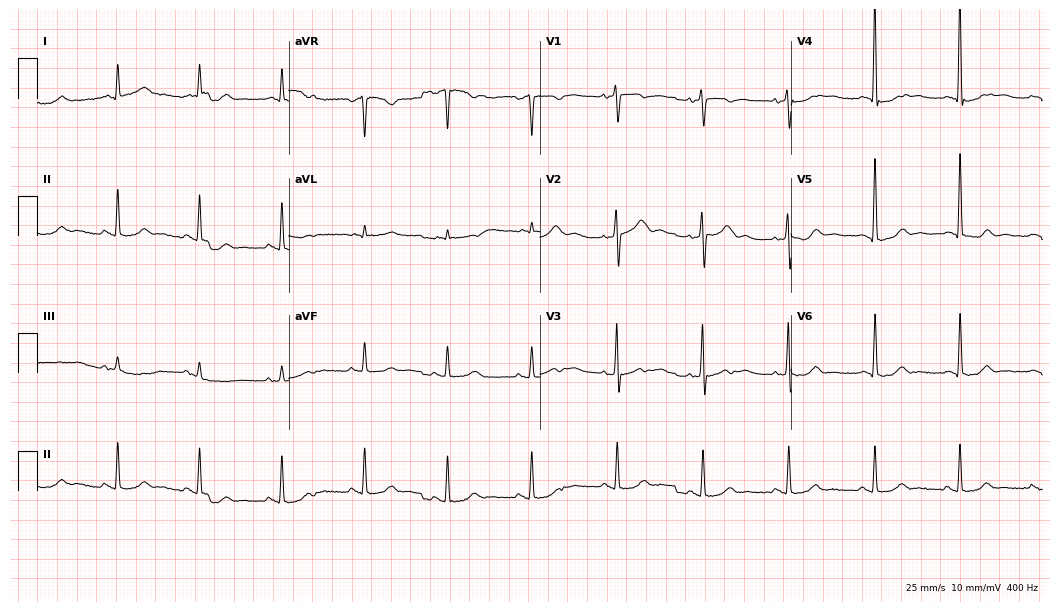
12-lead ECG from a man, 78 years old (10.2-second recording at 400 Hz). Recorded interpretation: within normal limits.